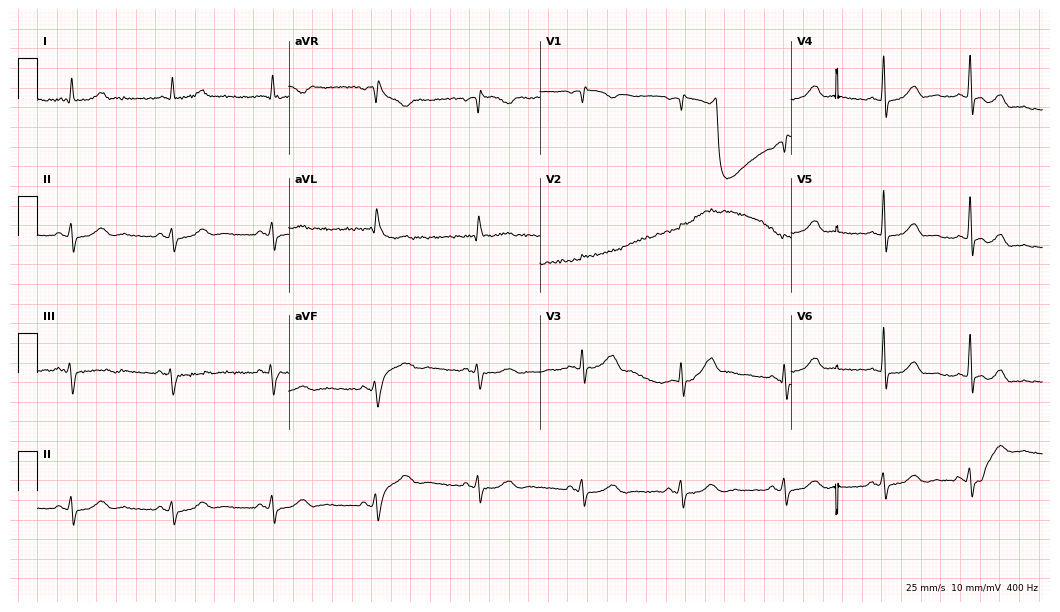
Electrocardiogram (10.2-second recording at 400 Hz), a female, 54 years old. Of the six screened findings (first-degree AV block, right bundle branch block (RBBB), left bundle branch block (LBBB), sinus bradycardia, atrial fibrillation (AF), sinus tachycardia), none is recorded. Other findings, if any, are not listed.